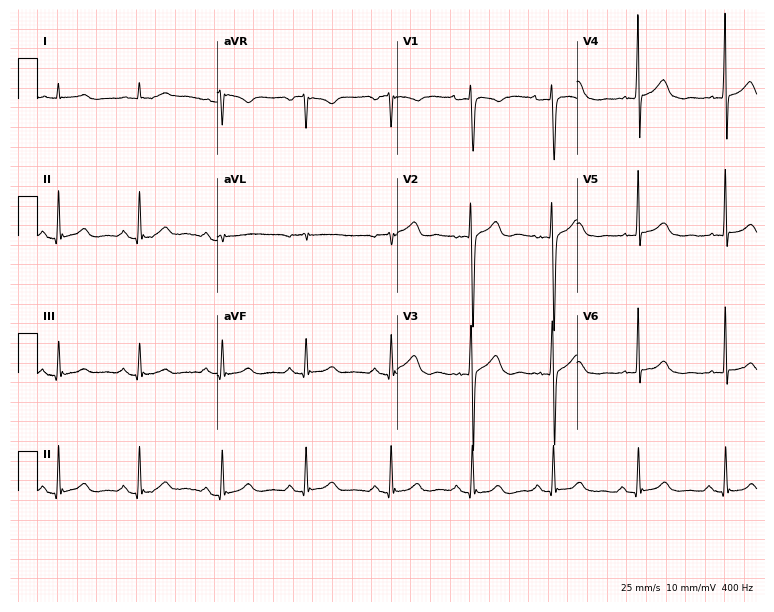
Standard 12-lead ECG recorded from a female patient, 66 years old (7.3-second recording at 400 Hz). None of these six findings is recorded: first-degree AV block, right bundle branch block (RBBB), left bundle branch block (LBBB), sinus bradycardia, atrial fibrillation (AF), sinus tachycardia. Only these six findings were labelled.